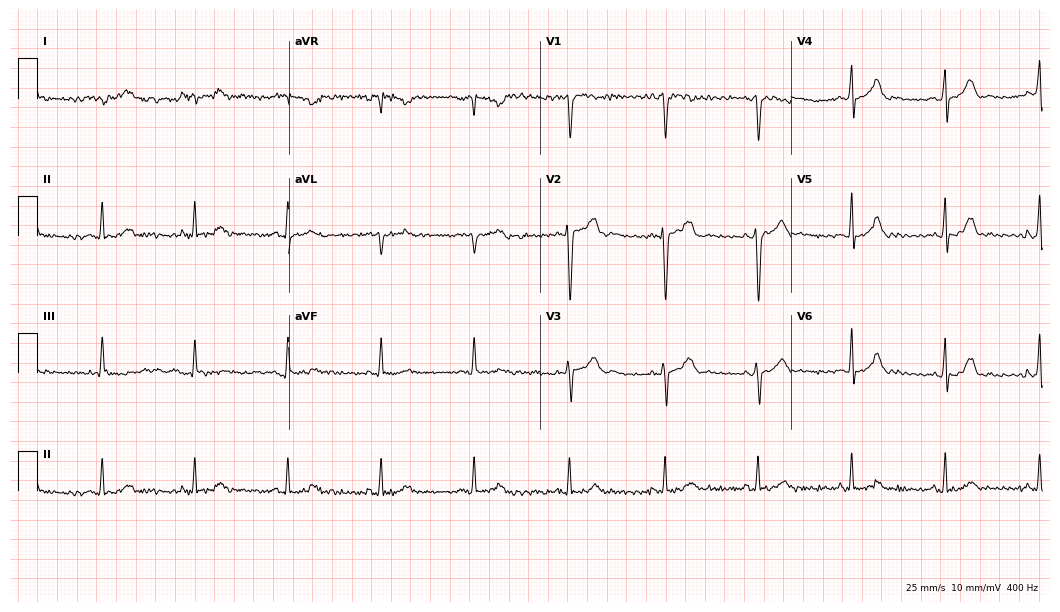
12-lead ECG (10.2-second recording at 400 Hz) from a 40-year-old male patient. Screened for six findings — first-degree AV block, right bundle branch block, left bundle branch block, sinus bradycardia, atrial fibrillation, sinus tachycardia — none is recorded.